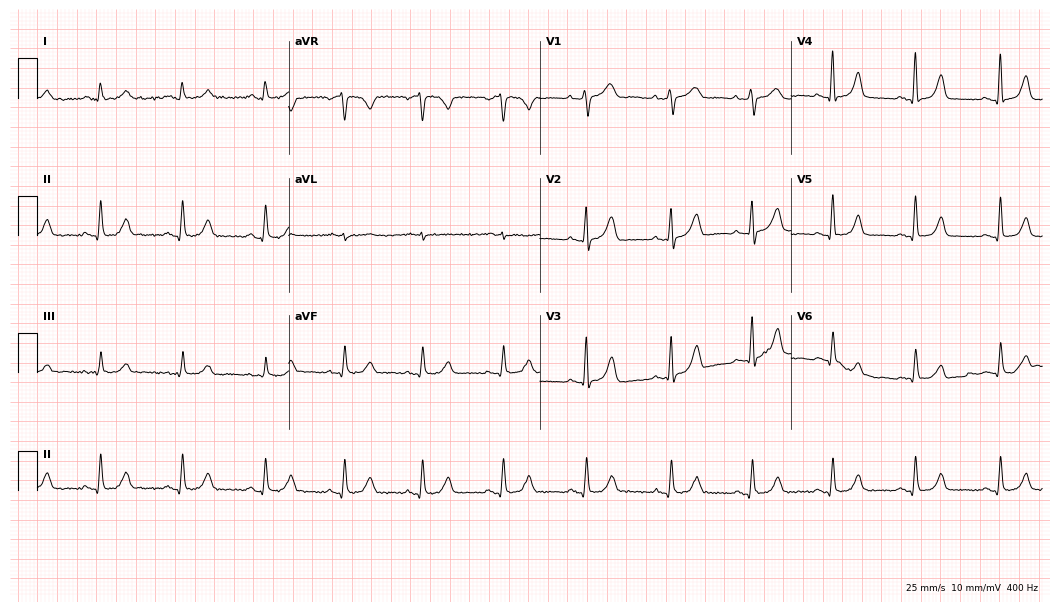
ECG (10.2-second recording at 400 Hz) — a 49-year-old woman. Labelled as a normal ECG.